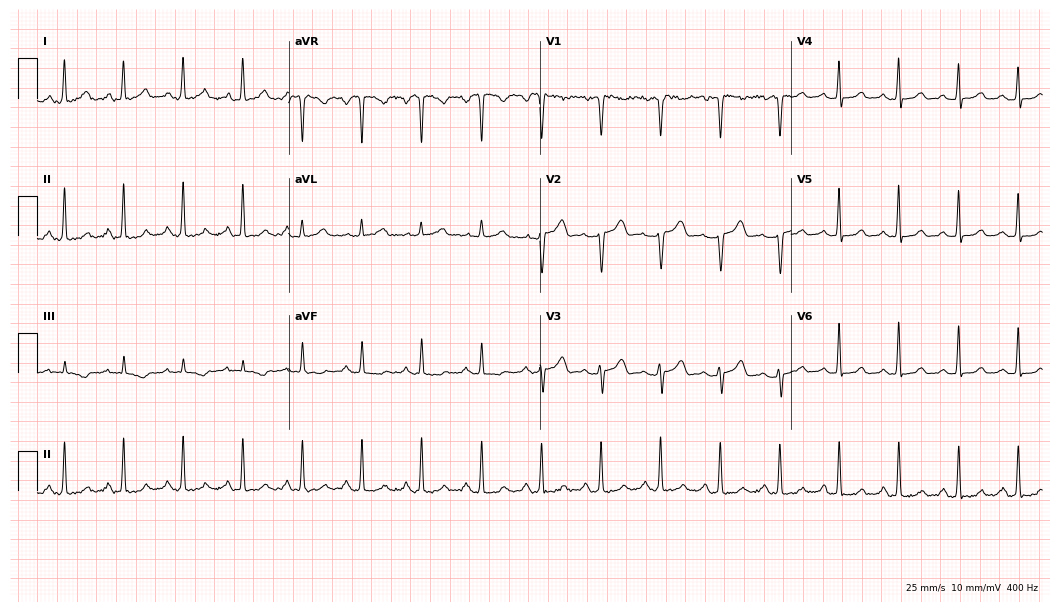
Standard 12-lead ECG recorded from a 45-year-old woman. None of these six findings is recorded: first-degree AV block, right bundle branch block (RBBB), left bundle branch block (LBBB), sinus bradycardia, atrial fibrillation (AF), sinus tachycardia. Only these six findings were labelled.